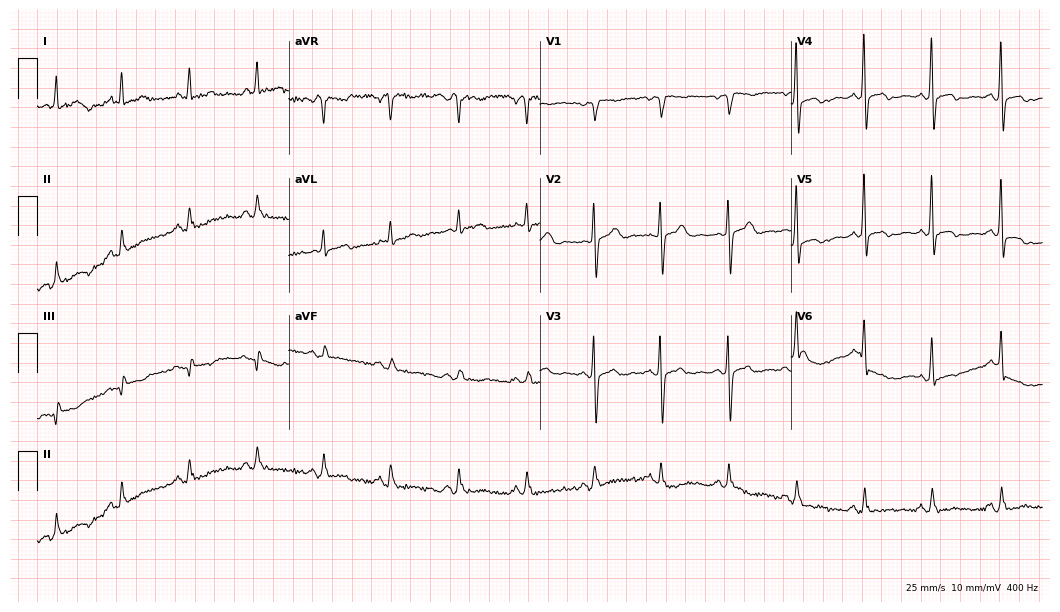
Standard 12-lead ECG recorded from a 62-year-old woman (10.2-second recording at 400 Hz). None of these six findings is recorded: first-degree AV block, right bundle branch block, left bundle branch block, sinus bradycardia, atrial fibrillation, sinus tachycardia.